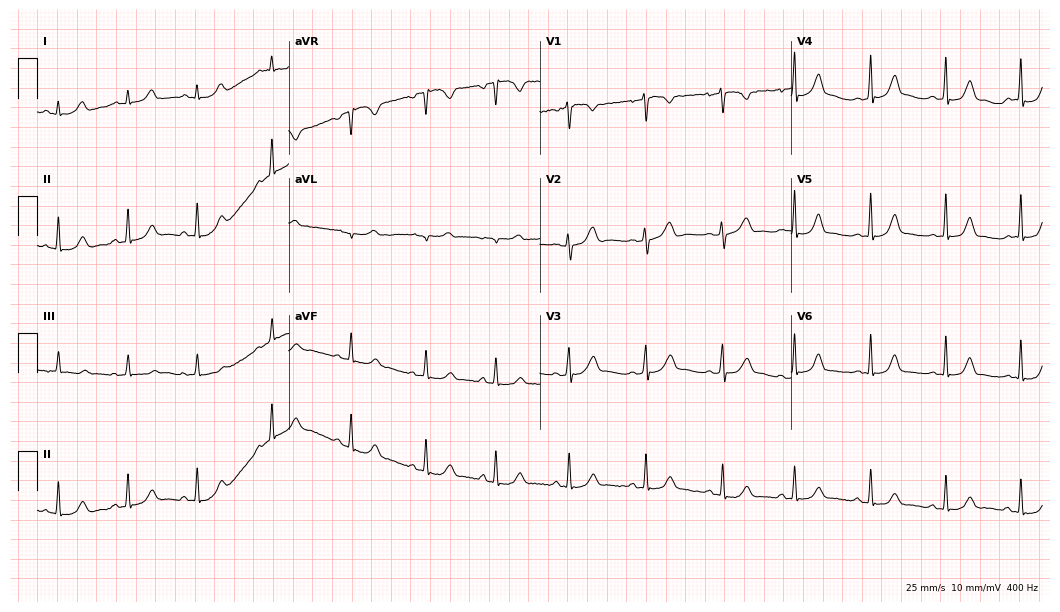
ECG (10.2-second recording at 400 Hz) — a female, 22 years old. Labelled as a normal ECG.